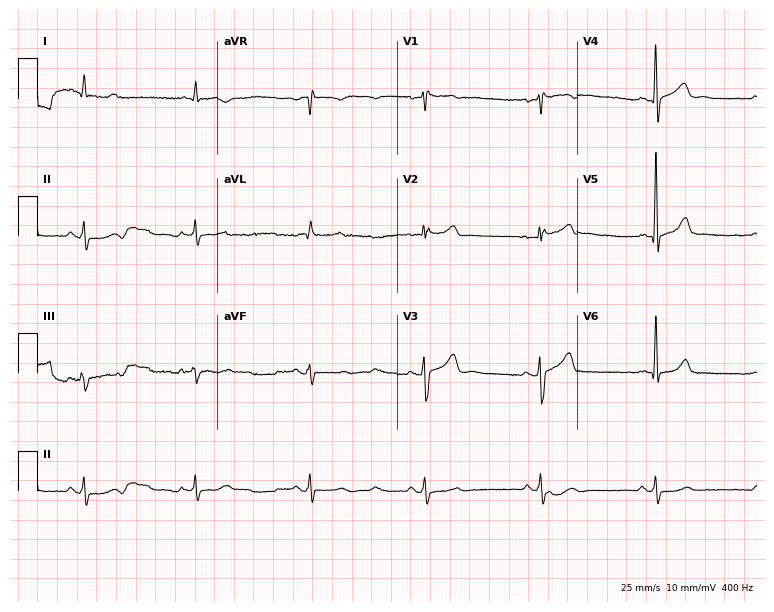
ECG — a male, 51 years old. Labelled as a normal ECG.